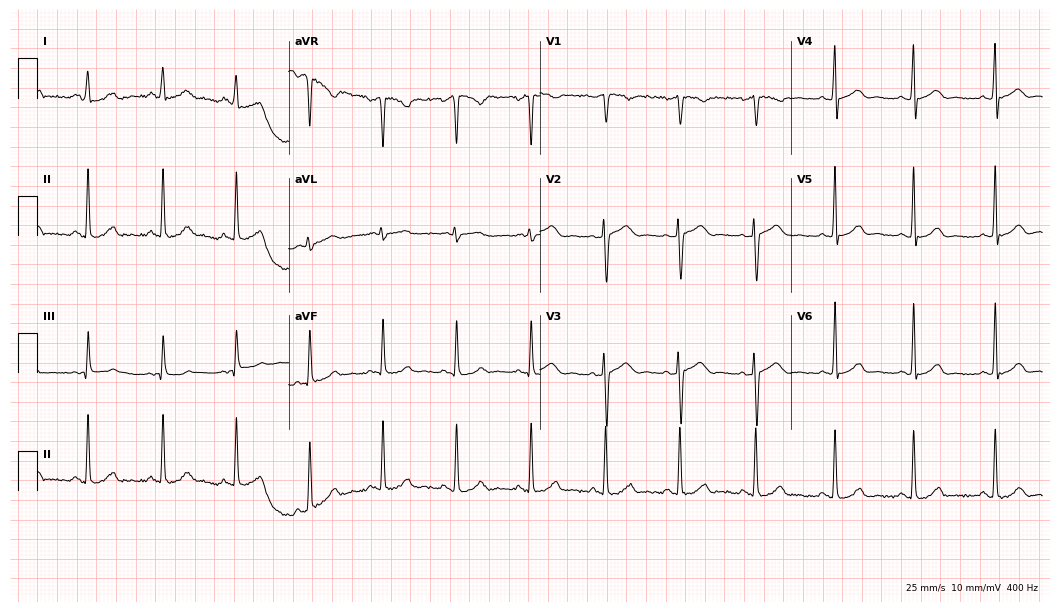
12-lead ECG (10.2-second recording at 400 Hz) from a 21-year-old female patient. Labelled as a normal ECG.